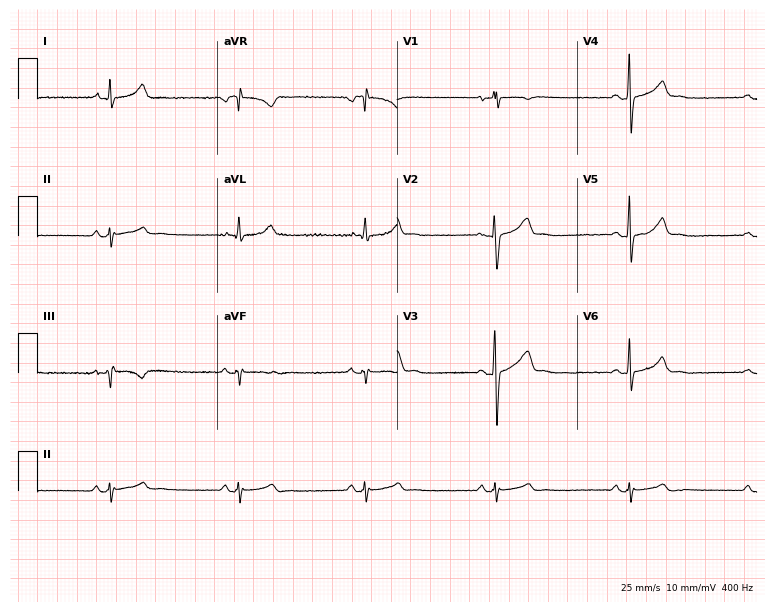
12-lead ECG (7.3-second recording at 400 Hz) from a 28-year-old man. Screened for six findings — first-degree AV block, right bundle branch block, left bundle branch block, sinus bradycardia, atrial fibrillation, sinus tachycardia — none is recorded.